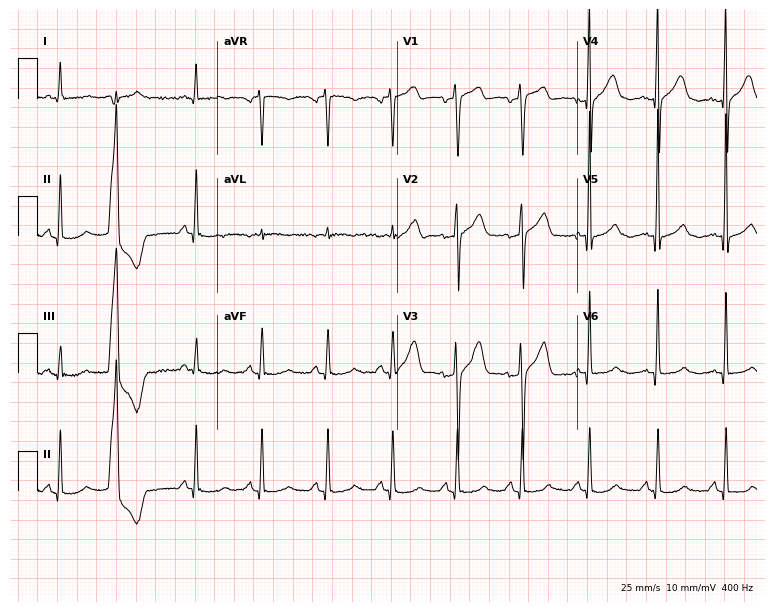
12-lead ECG from a male, 64 years old (7.3-second recording at 400 Hz). No first-degree AV block, right bundle branch block (RBBB), left bundle branch block (LBBB), sinus bradycardia, atrial fibrillation (AF) or sinus tachycardia recorded for this tracing.